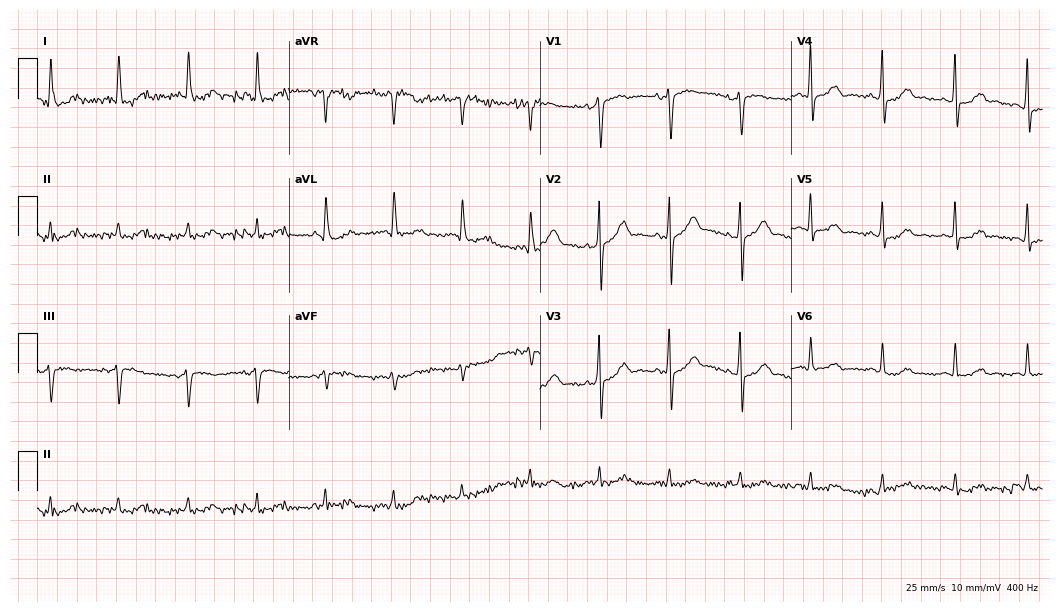
12-lead ECG from a 67-year-old male. Labelled as a normal ECG.